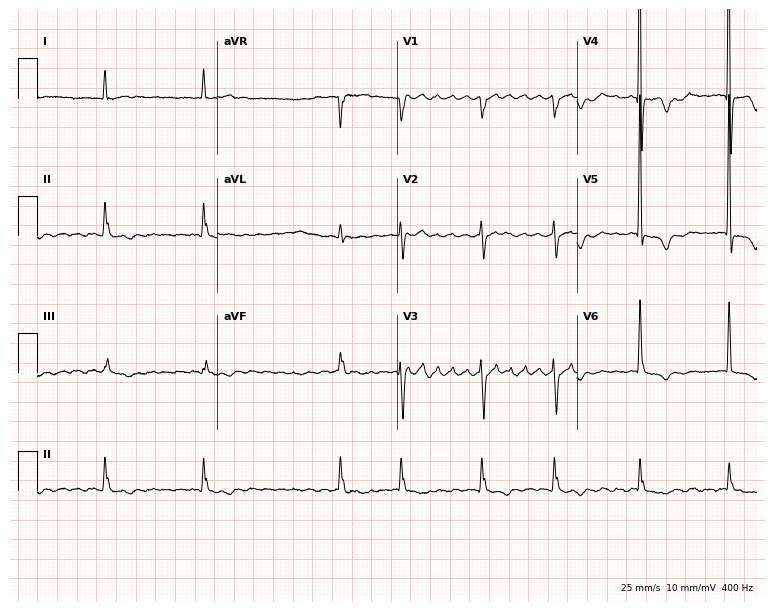
Resting 12-lead electrocardiogram. Patient: a female, 83 years old. The tracing shows atrial fibrillation.